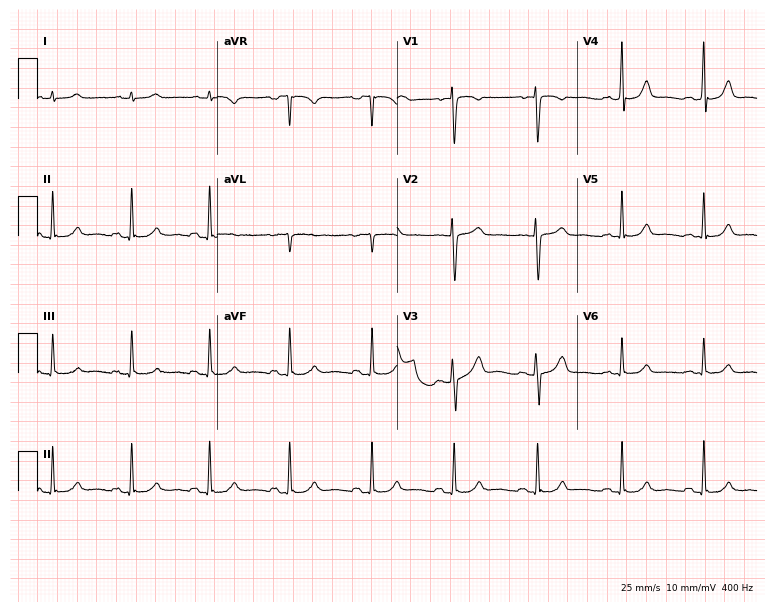
12-lead ECG from a 66-year-old woman. Recorded interpretation: within normal limits.